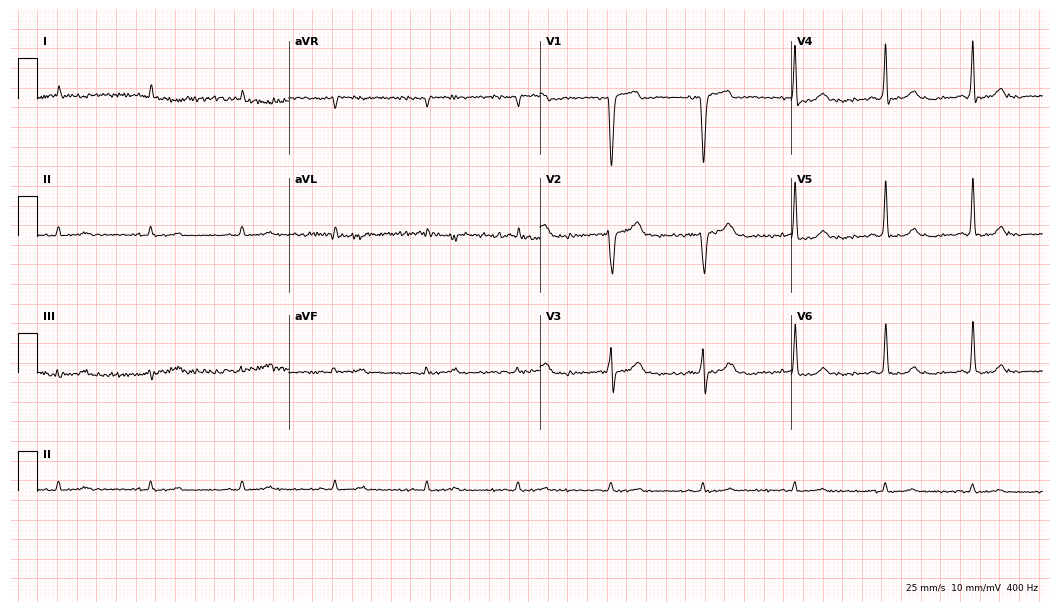
ECG (10.2-second recording at 400 Hz) — a male, 81 years old. Screened for six findings — first-degree AV block, right bundle branch block (RBBB), left bundle branch block (LBBB), sinus bradycardia, atrial fibrillation (AF), sinus tachycardia — none is recorded. Other findings, if any, are not listed.